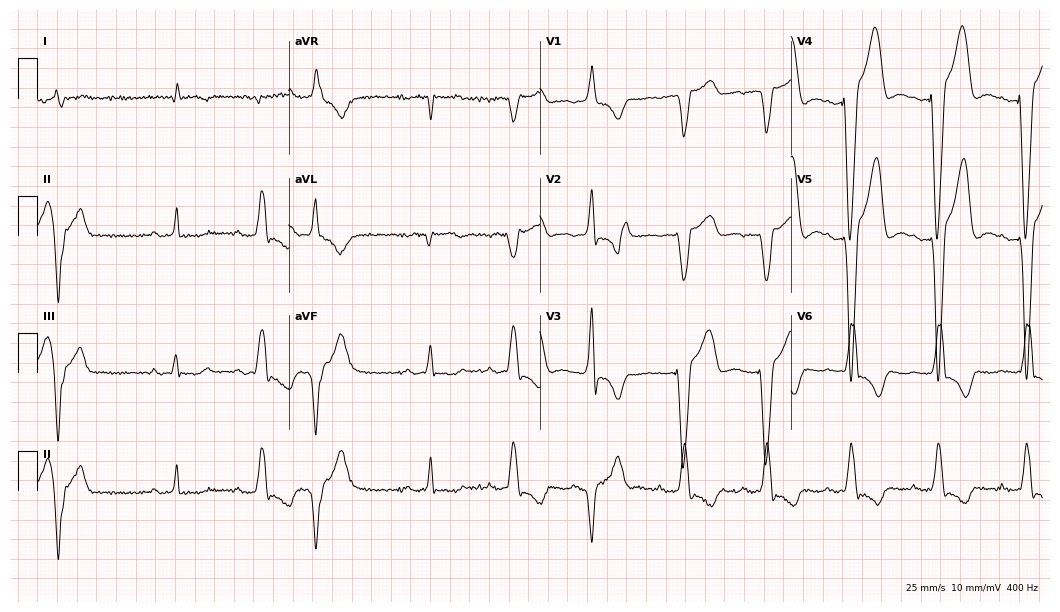
ECG — an 81-year-old male patient. Findings include first-degree AV block.